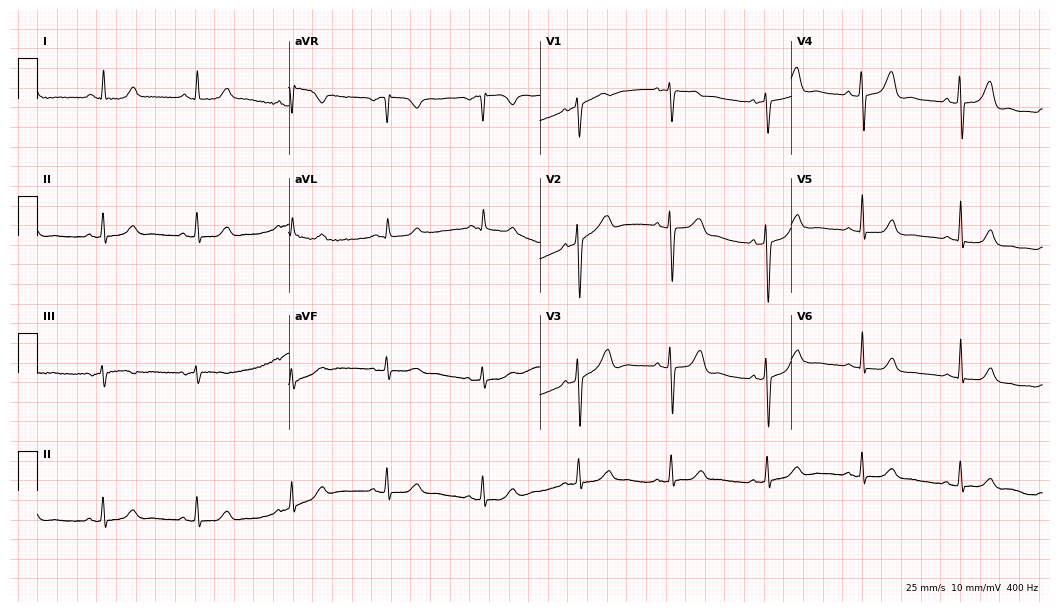
ECG — a 59-year-old male patient. Labelled as a normal ECG.